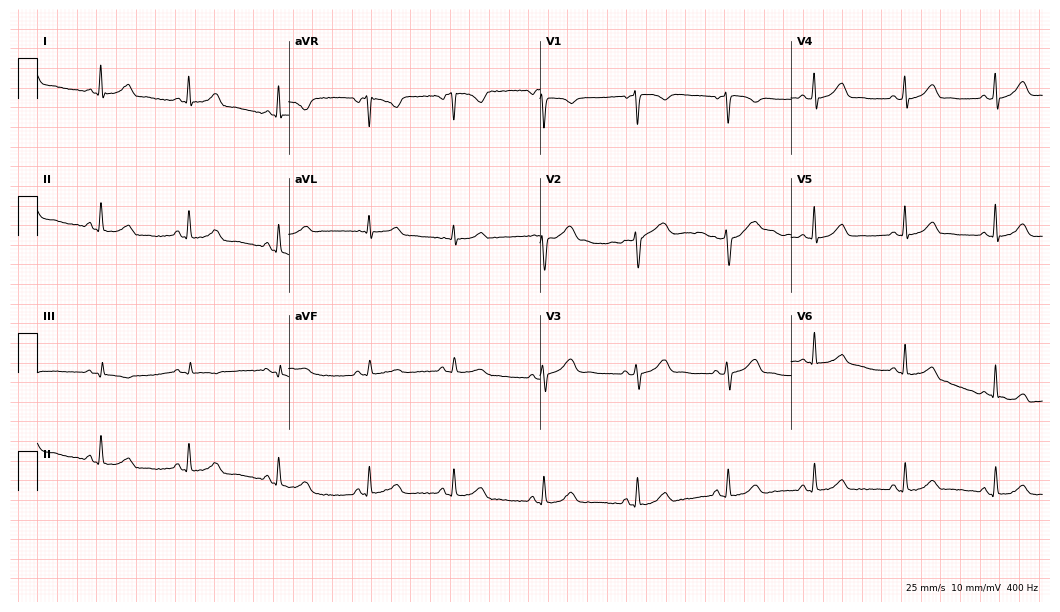
Resting 12-lead electrocardiogram. Patient: a 52-year-old female. Read as a normal ECG.